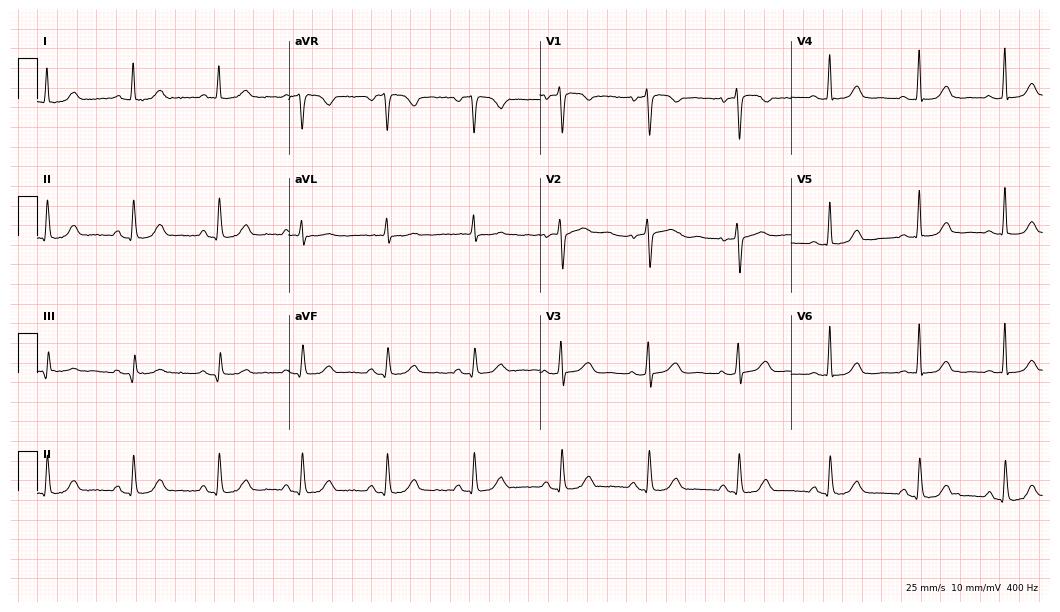
ECG — a female patient, 64 years old. Screened for six findings — first-degree AV block, right bundle branch block (RBBB), left bundle branch block (LBBB), sinus bradycardia, atrial fibrillation (AF), sinus tachycardia — none is recorded.